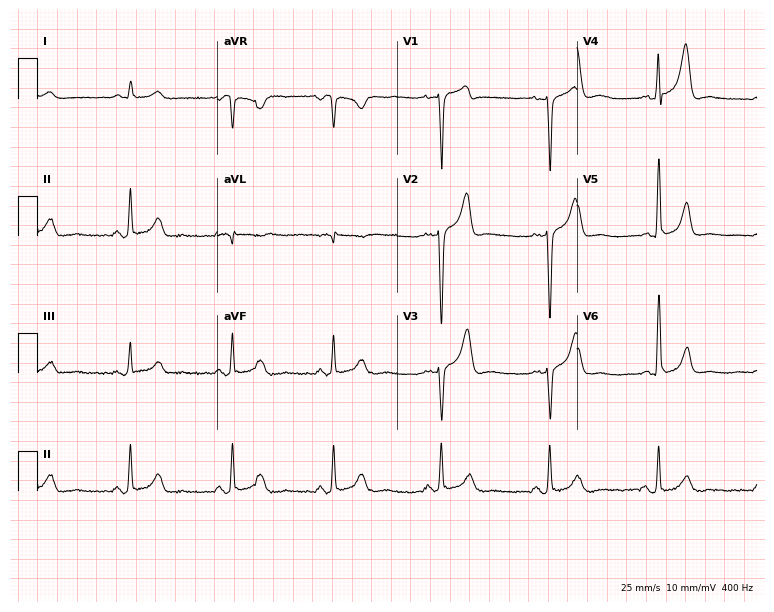
ECG — a 49-year-old male patient. Screened for six findings — first-degree AV block, right bundle branch block (RBBB), left bundle branch block (LBBB), sinus bradycardia, atrial fibrillation (AF), sinus tachycardia — none is recorded. Only these six findings were labelled.